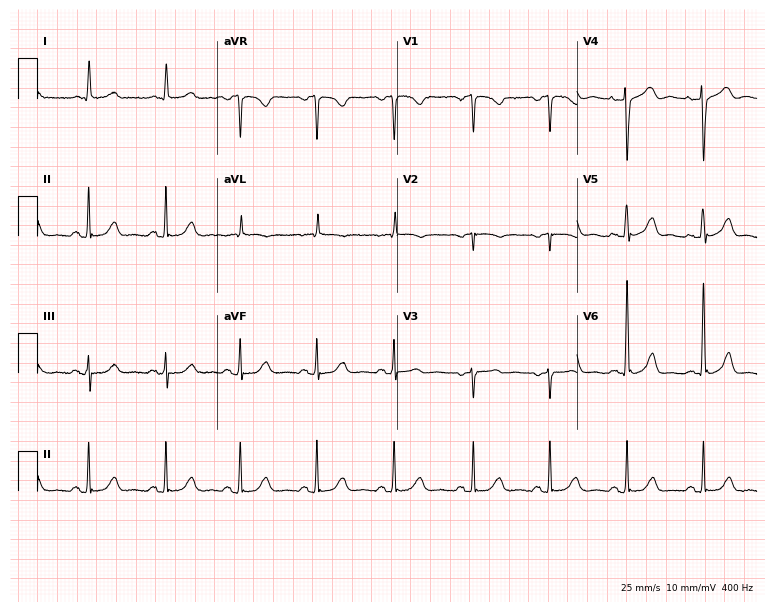
Electrocardiogram, an 81-year-old female. Of the six screened findings (first-degree AV block, right bundle branch block, left bundle branch block, sinus bradycardia, atrial fibrillation, sinus tachycardia), none is recorded. Findings outside these six are not listed.